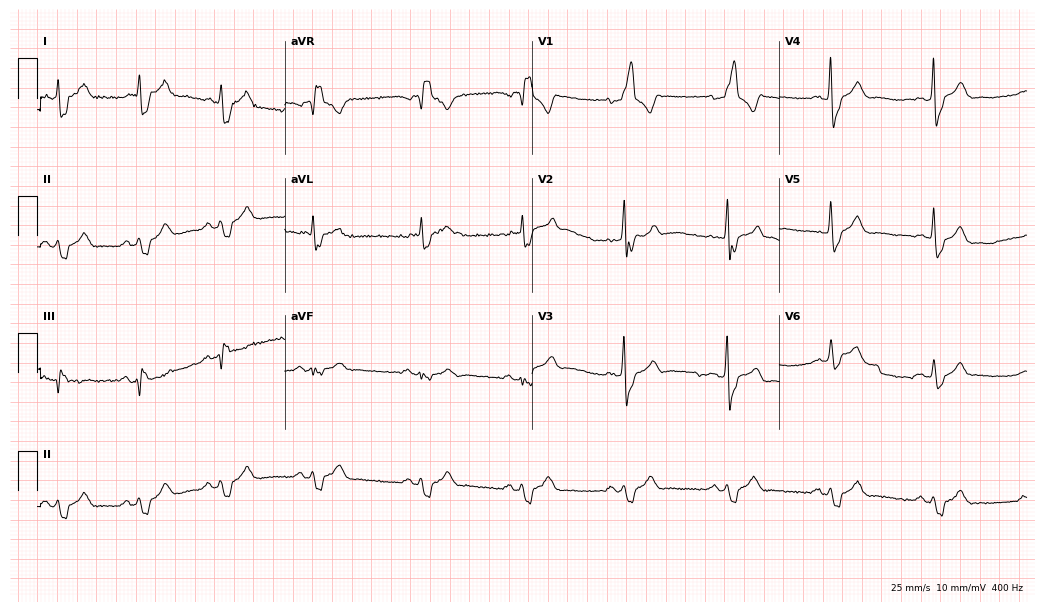
12-lead ECG from a 72-year-old male (10.1-second recording at 400 Hz). Shows right bundle branch block.